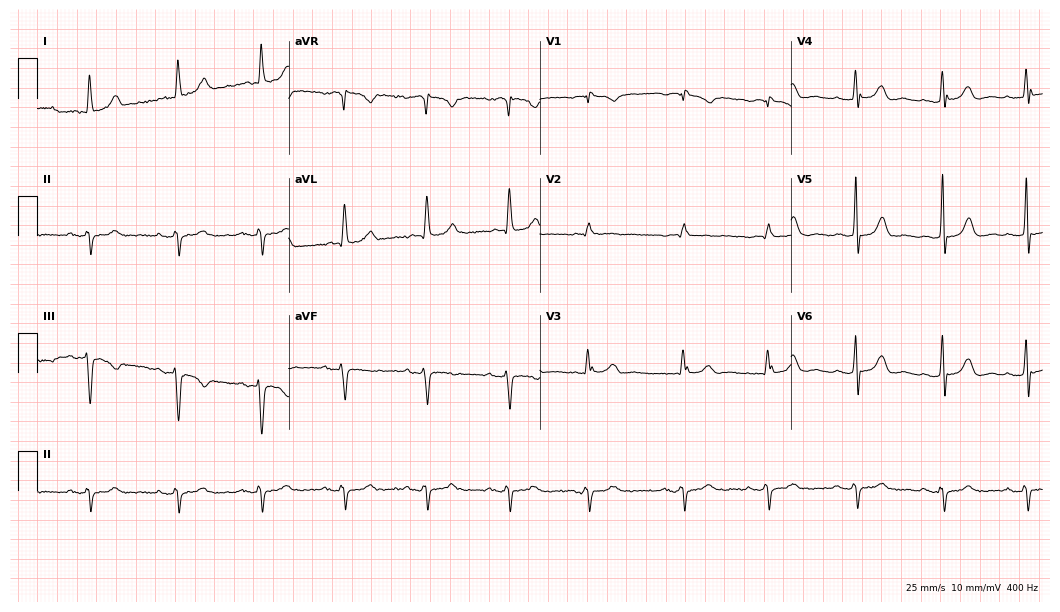
ECG (10.2-second recording at 400 Hz) — a 79-year-old male. Screened for six findings — first-degree AV block, right bundle branch block (RBBB), left bundle branch block (LBBB), sinus bradycardia, atrial fibrillation (AF), sinus tachycardia — none is recorded. Only these six findings were labelled.